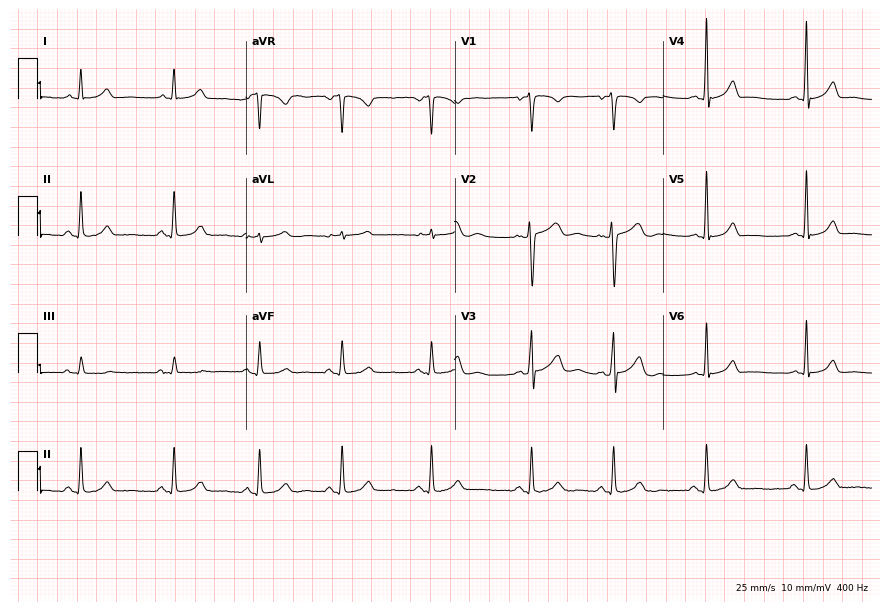
Standard 12-lead ECG recorded from a female, 36 years old (8.5-second recording at 400 Hz). Read as a normal ECG.